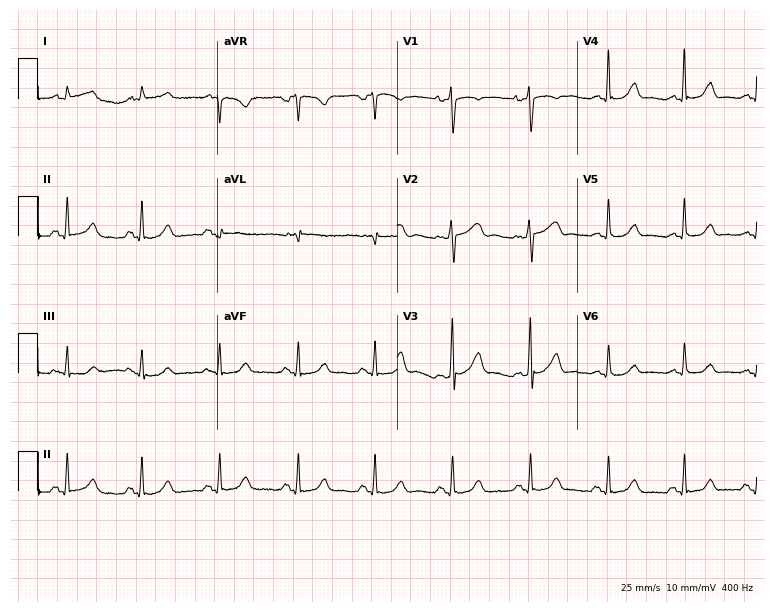
12-lead ECG from a 39-year-old female. Labelled as a normal ECG.